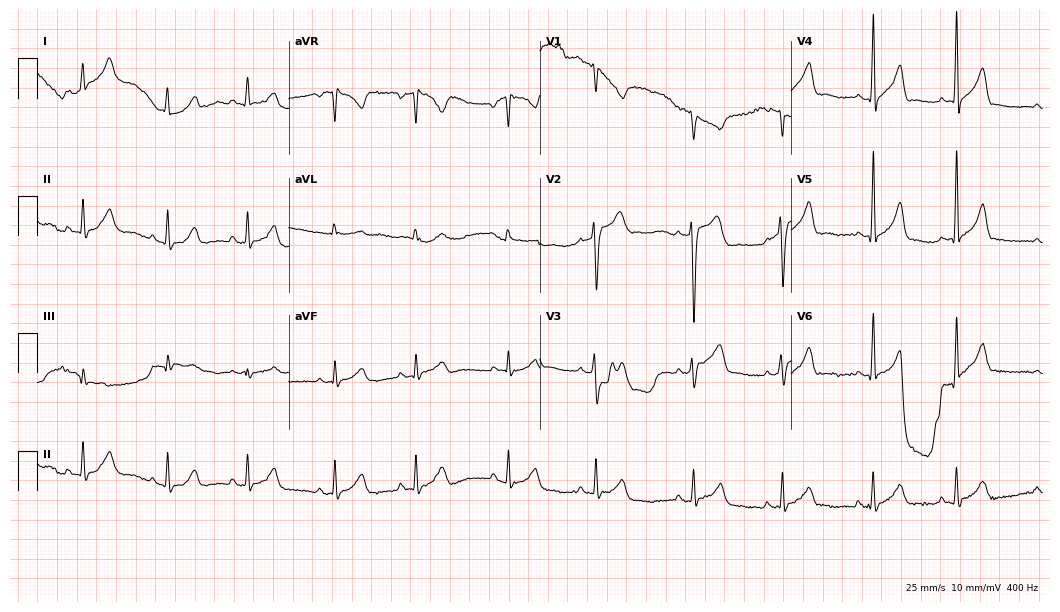
Electrocardiogram, a female, 24 years old. Overall reading on record: normal ECG.